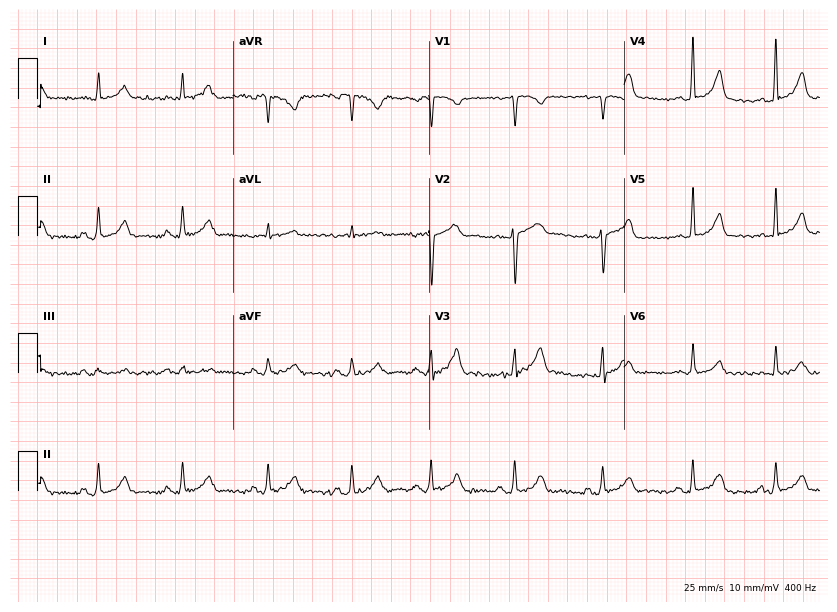
Standard 12-lead ECG recorded from a 44-year-old female patient (8-second recording at 400 Hz). None of these six findings is recorded: first-degree AV block, right bundle branch block, left bundle branch block, sinus bradycardia, atrial fibrillation, sinus tachycardia.